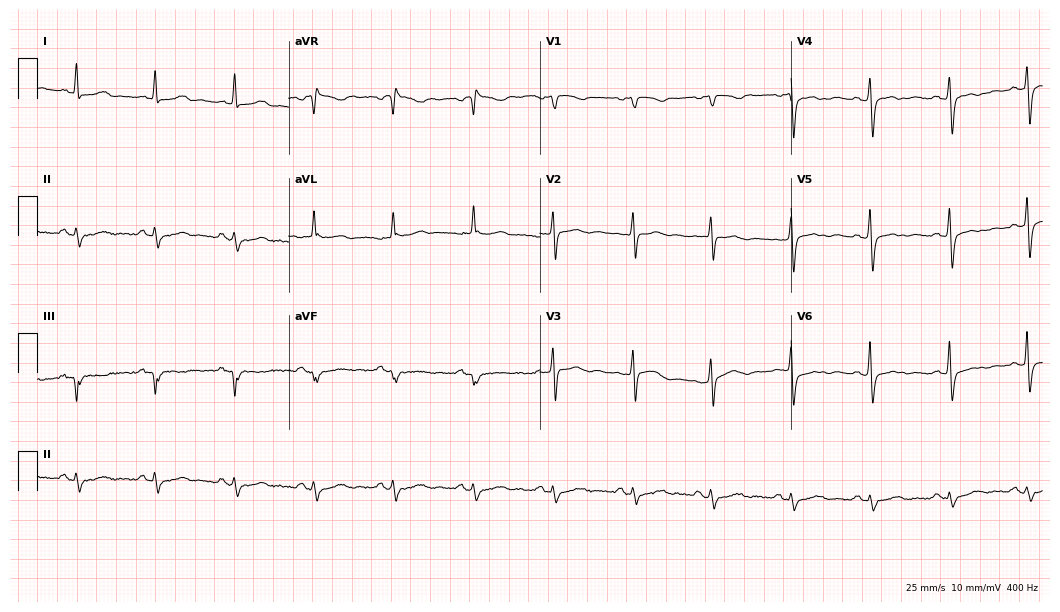
Electrocardiogram, a female, 83 years old. Of the six screened findings (first-degree AV block, right bundle branch block (RBBB), left bundle branch block (LBBB), sinus bradycardia, atrial fibrillation (AF), sinus tachycardia), none is recorded. Only these six findings were labelled.